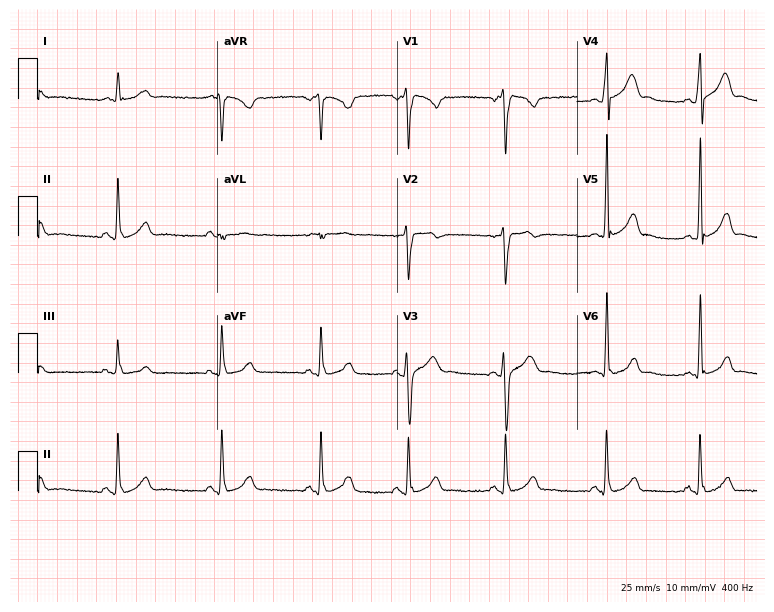
Standard 12-lead ECG recorded from a male patient, 31 years old. Read as a normal ECG.